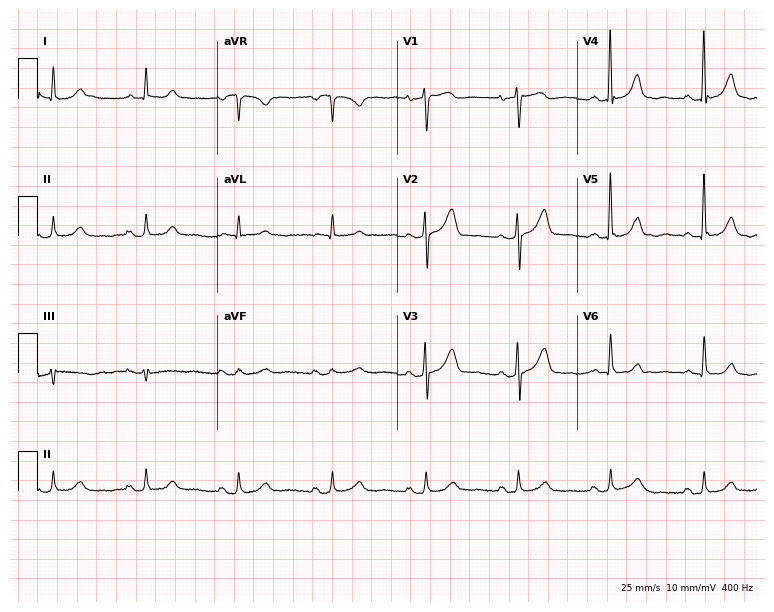
12-lead ECG from a 70-year-old male patient. No first-degree AV block, right bundle branch block (RBBB), left bundle branch block (LBBB), sinus bradycardia, atrial fibrillation (AF) or sinus tachycardia recorded for this tracing. Other findings, if any, are not listed.